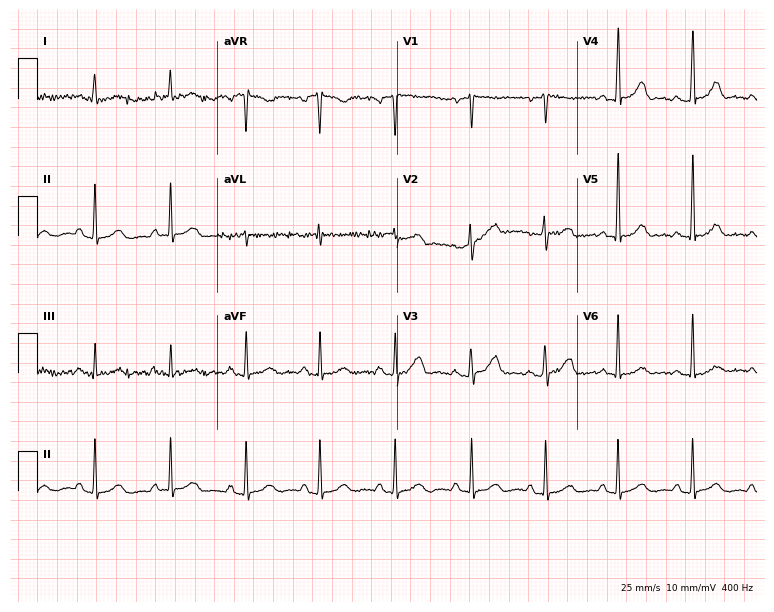
Resting 12-lead electrocardiogram (7.3-second recording at 400 Hz). Patient: a 40-year-old woman. None of these six findings is recorded: first-degree AV block, right bundle branch block (RBBB), left bundle branch block (LBBB), sinus bradycardia, atrial fibrillation (AF), sinus tachycardia. Only these six findings were labelled.